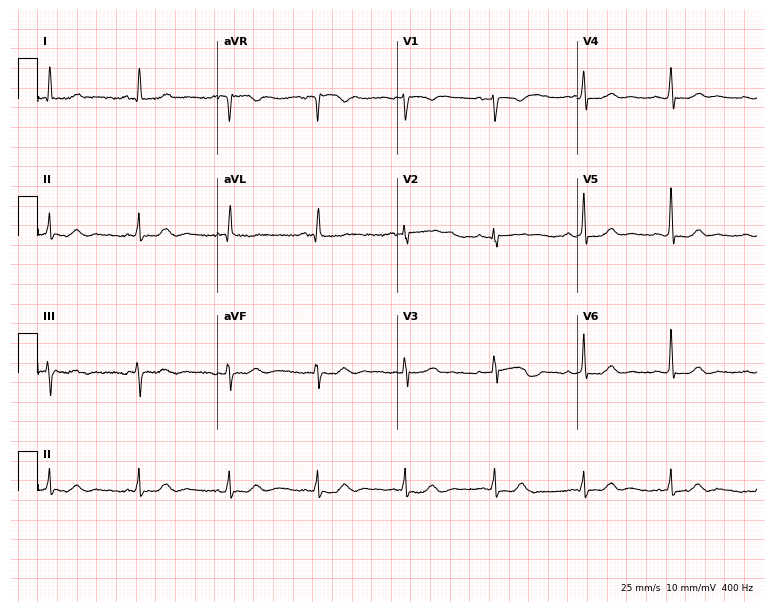
12-lead ECG (7.3-second recording at 400 Hz) from a 53-year-old female. Screened for six findings — first-degree AV block, right bundle branch block, left bundle branch block, sinus bradycardia, atrial fibrillation, sinus tachycardia — none is recorded.